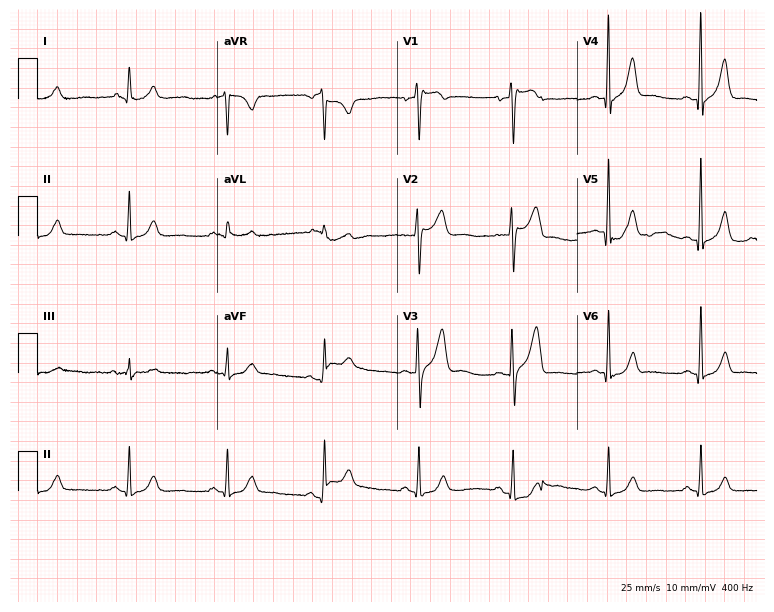
Resting 12-lead electrocardiogram (7.3-second recording at 400 Hz). Patient: a 46-year-old male. Read as a normal ECG.